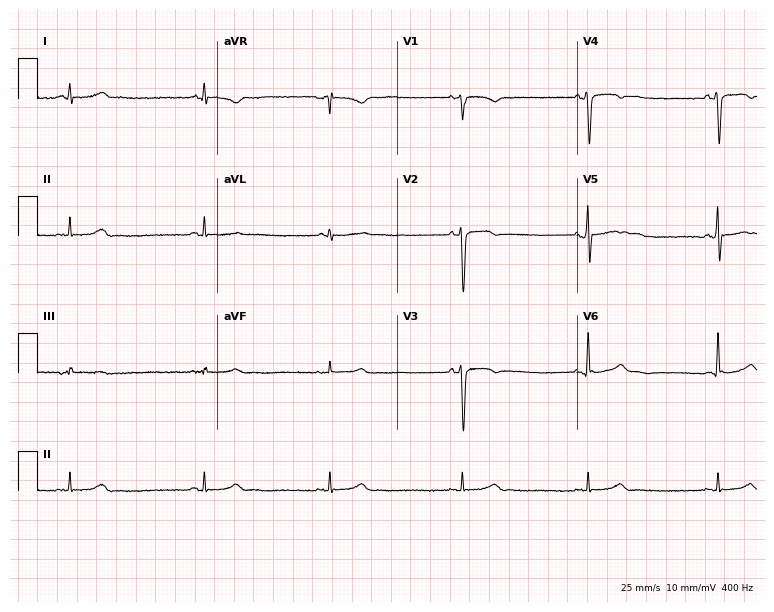
ECG — a male, 43 years old. Screened for six findings — first-degree AV block, right bundle branch block, left bundle branch block, sinus bradycardia, atrial fibrillation, sinus tachycardia — none is recorded. Only these six findings were labelled.